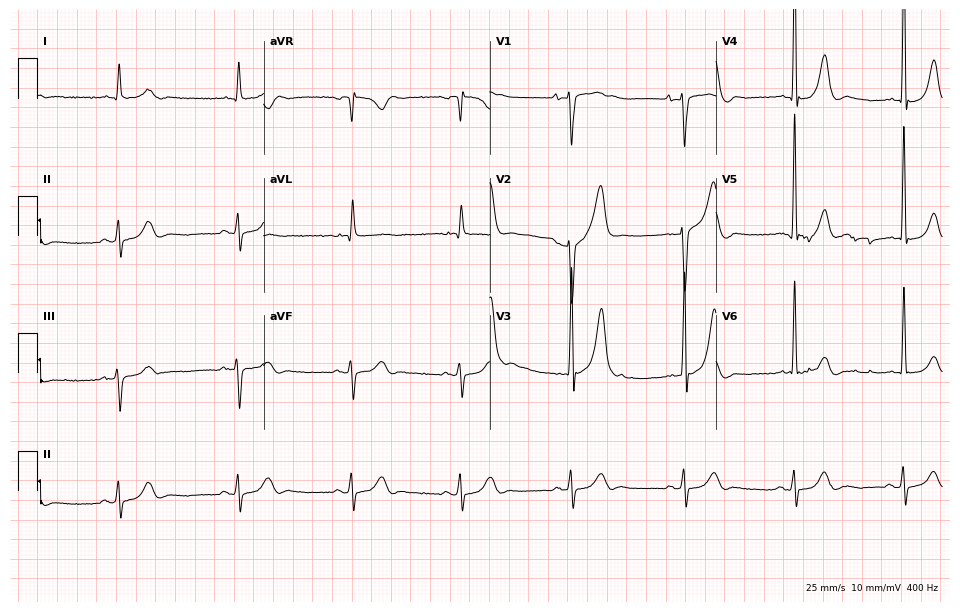
Electrocardiogram, a man, 83 years old. Of the six screened findings (first-degree AV block, right bundle branch block, left bundle branch block, sinus bradycardia, atrial fibrillation, sinus tachycardia), none is recorded. Only these six findings were labelled.